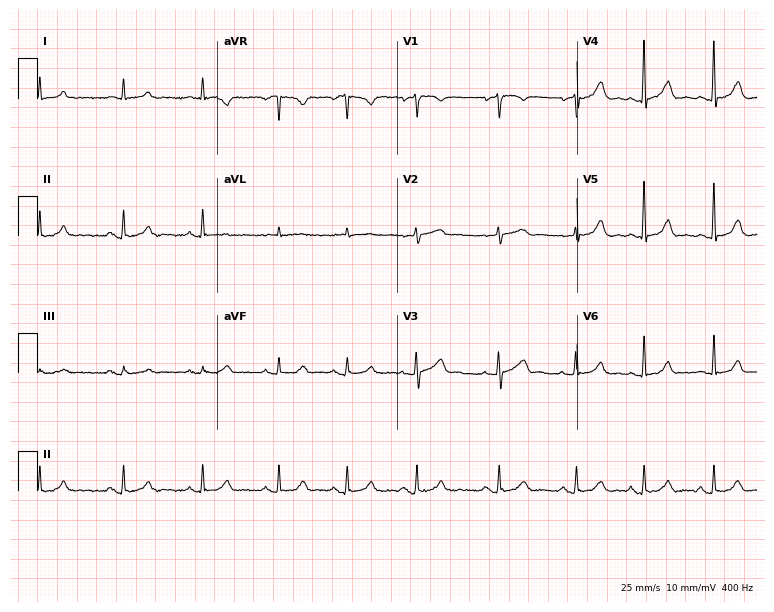
Electrocardiogram (7.3-second recording at 400 Hz), a man, 61 years old. Overall reading on record: normal ECG.